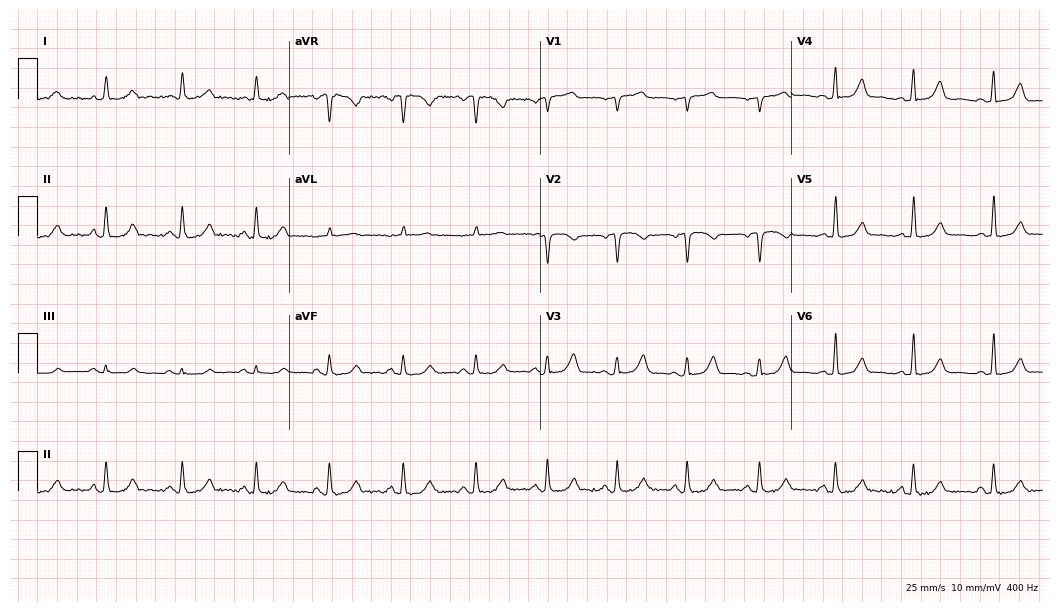
ECG — a 52-year-old female. Labelled as a normal ECG.